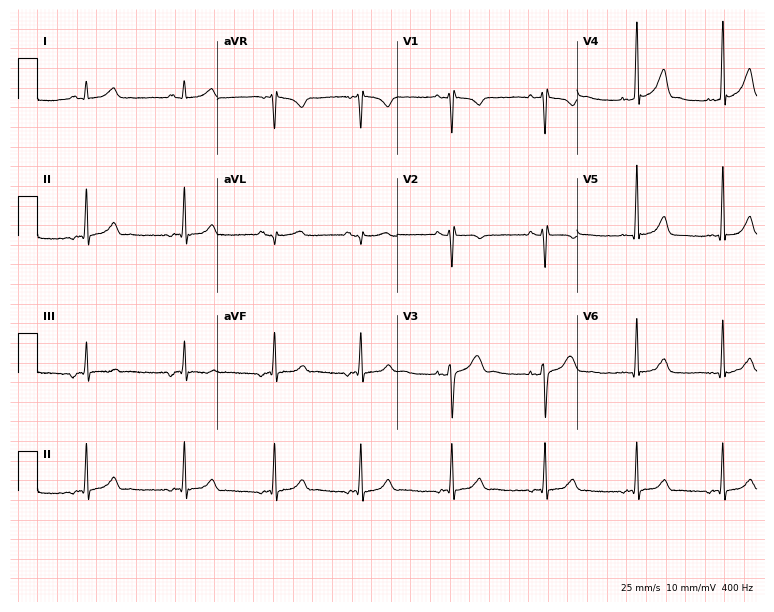
Standard 12-lead ECG recorded from a female patient, 40 years old (7.3-second recording at 400 Hz). None of these six findings is recorded: first-degree AV block, right bundle branch block (RBBB), left bundle branch block (LBBB), sinus bradycardia, atrial fibrillation (AF), sinus tachycardia. Findings outside these six are not listed.